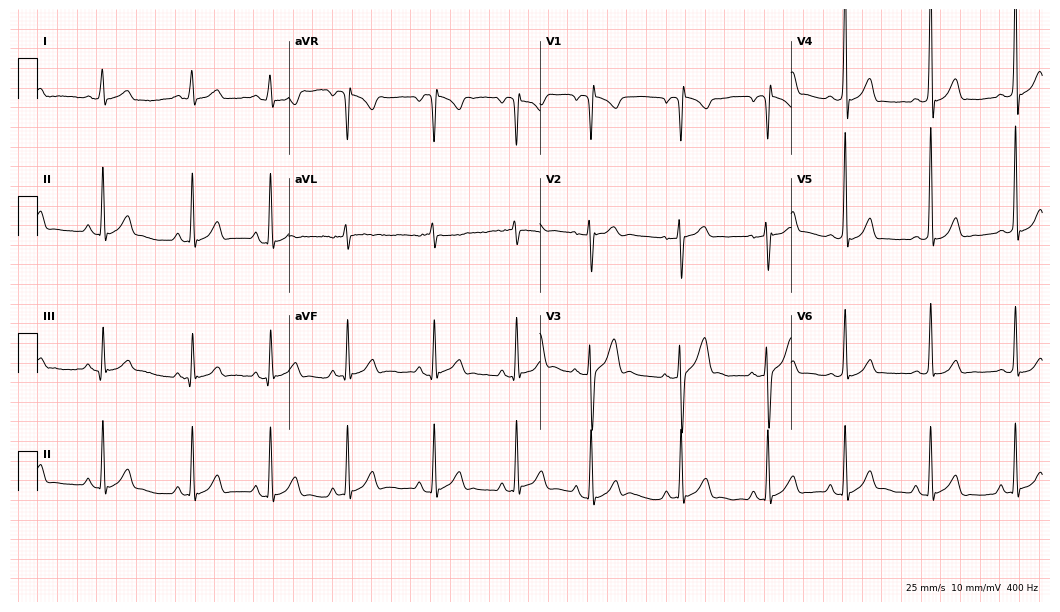
12-lead ECG (10.2-second recording at 400 Hz) from a 19-year-old male patient. Screened for six findings — first-degree AV block, right bundle branch block, left bundle branch block, sinus bradycardia, atrial fibrillation, sinus tachycardia — none is recorded.